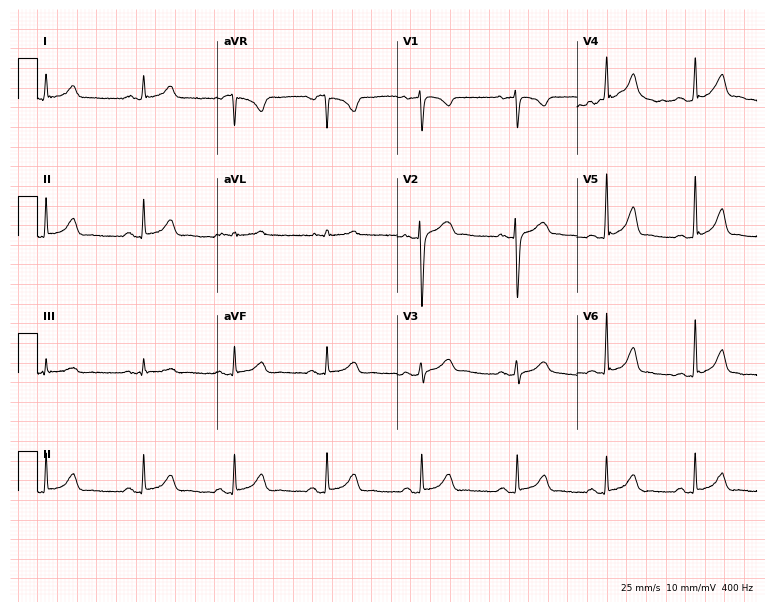
Resting 12-lead electrocardiogram (7.3-second recording at 400 Hz). Patient: a man, 39 years old. Read as a normal ECG.